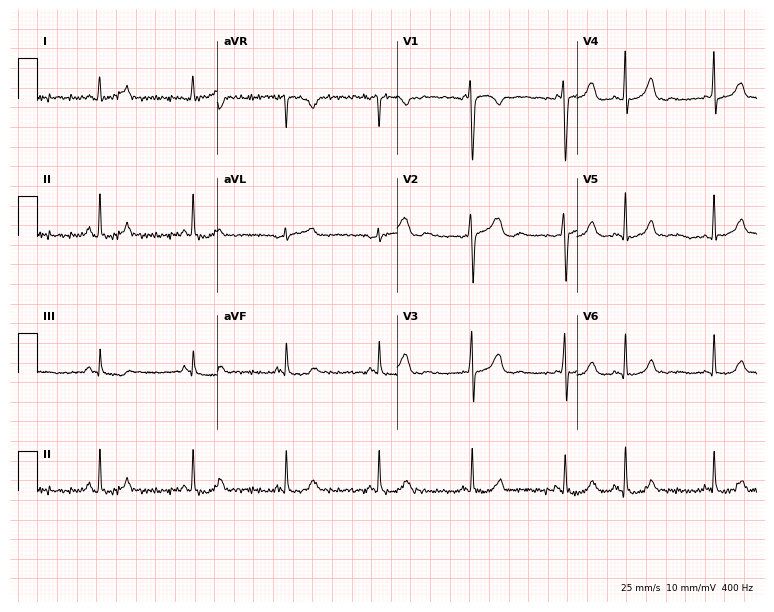
ECG — a female, 30 years old. Screened for six findings — first-degree AV block, right bundle branch block, left bundle branch block, sinus bradycardia, atrial fibrillation, sinus tachycardia — none is recorded.